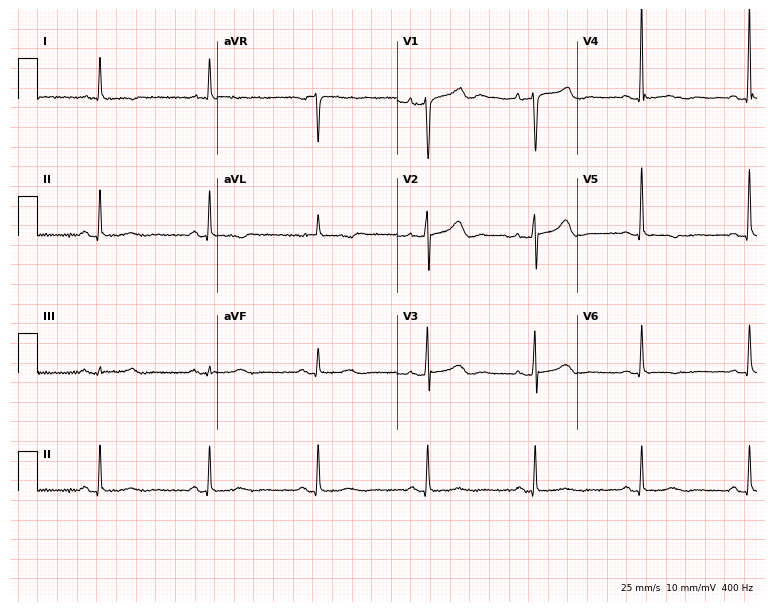
12-lead ECG (7.3-second recording at 400 Hz) from an 81-year-old woman. Screened for six findings — first-degree AV block, right bundle branch block, left bundle branch block, sinus bradycardia, atrial fibrillation, sinus tachycardia — none is recorded.